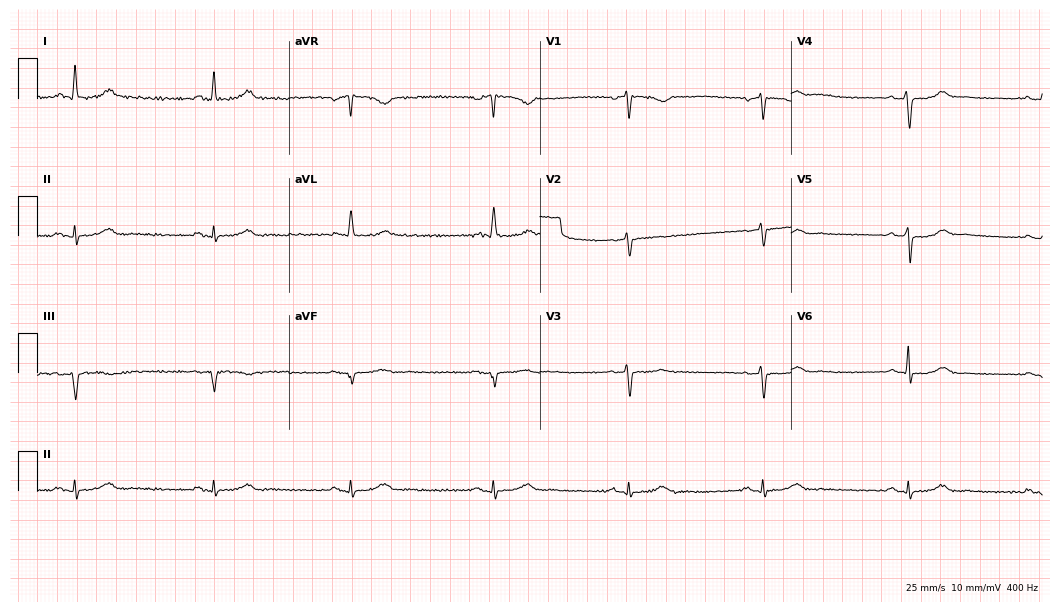
Resting 12-lead electrocardiogram. Patient: a 50-year-old female. None of these six findings is recorded: first-degree AV block, right bundle branch block (RBBB), left bundle branch block (LBBB), sinus bradycardia, atrial fibrillation (AF), sinus tachycardia.